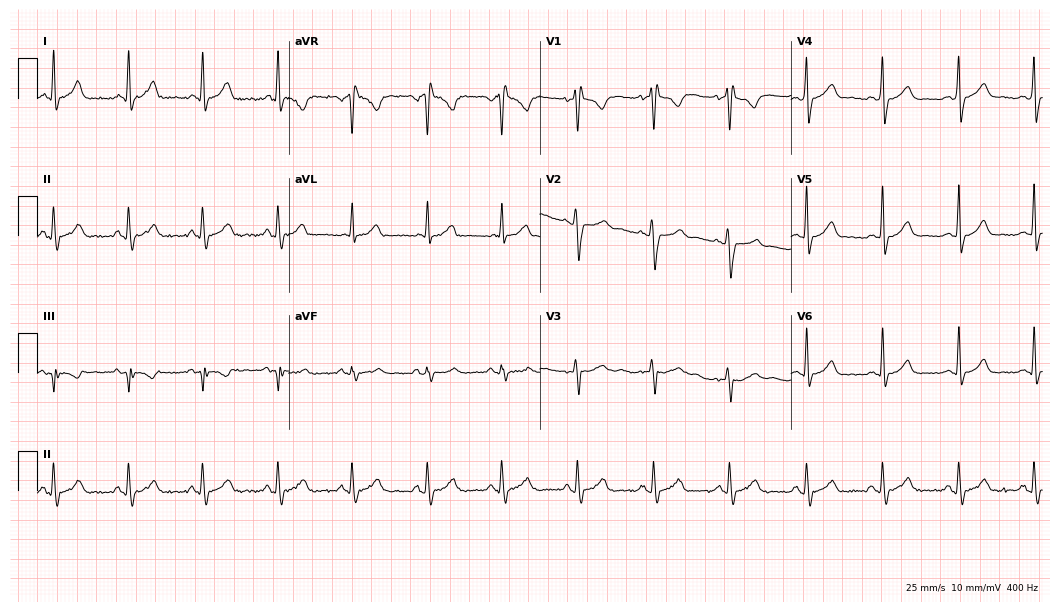
Electrocardiogram, a man, 28 years old. Of the six screened findings (first-degree AV block, right bundle branch block (RBBB), left bundle branch block (LBBB), sinus bradycardia, atrial fibrillation (AF), sinus tachycardia), none is recorded. Only these six findings were labelled.